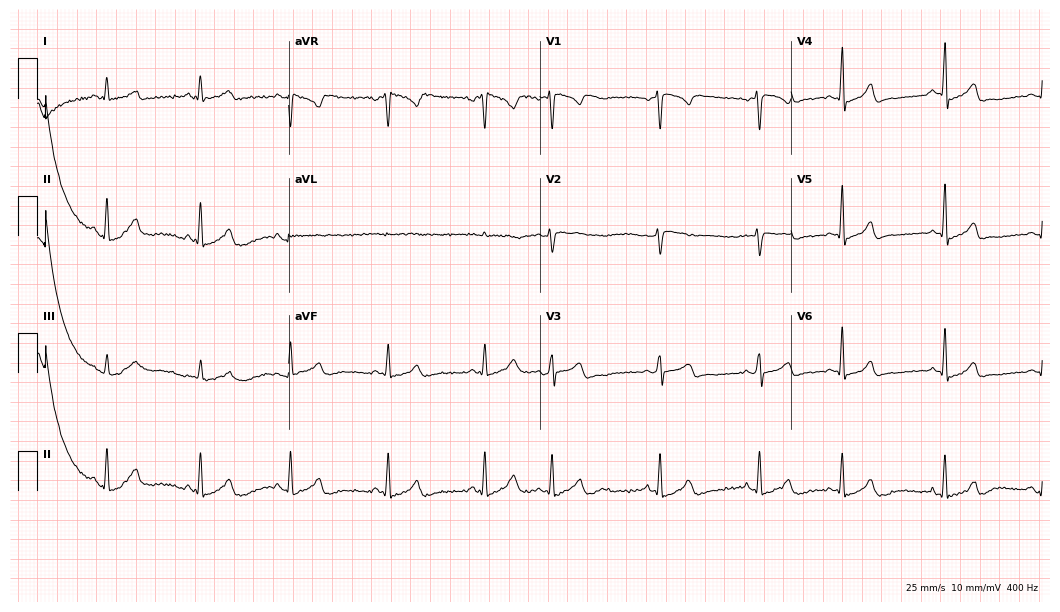
Resting 12-lead electrocardiogram. Patient: a female, 40 years old. None of these six findings is recorded: first-degree AV block, right bundle branch block, left bundle branch block, sinus bradycardia, atrial fibrillation, sinus tachycardia.